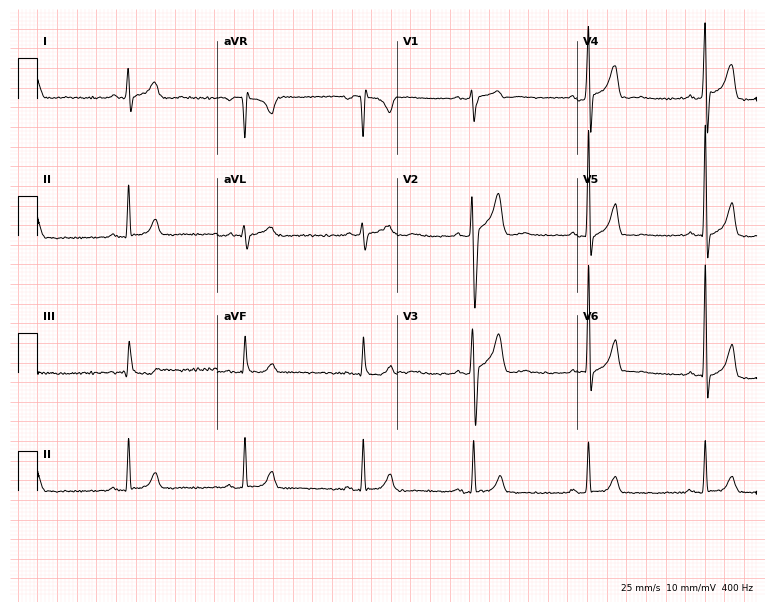
Resting 12-lead electrocardiogram (7.3-second recording at 400 Hz). Patient: a male, 59 years old. None of these six findings is recorded: first-degree AV block, right bundle branch block (RBBB), left bundle branch block (LBBB), sinus bradycardia, atrial fibrillation (AF), sinus tachycardia.